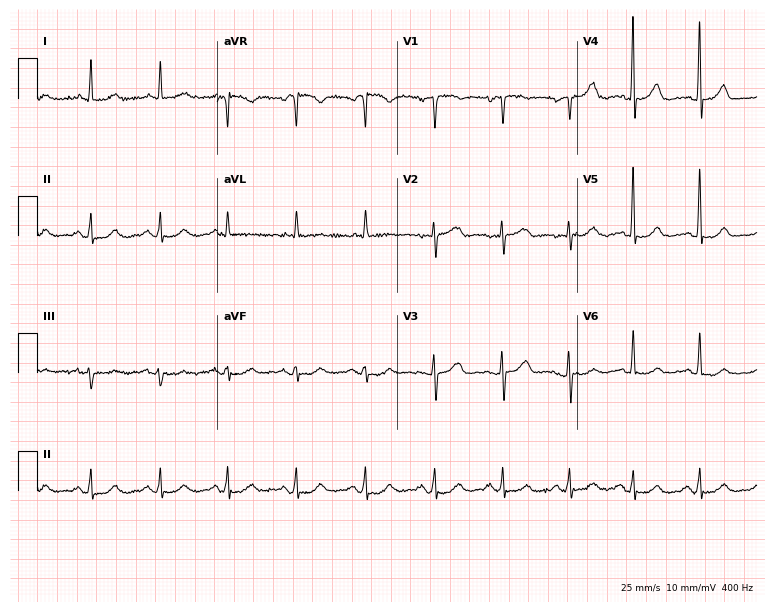
Electrocardiogram (7.3-second recording at 400 Hz), a female patient, 47 years old. Of the six screened findings (first-degree AV block, right bundle branch block, left bundle branch block, sinus bradycardia, atrial fibrillation, sinus tachycardia), none is recorded.